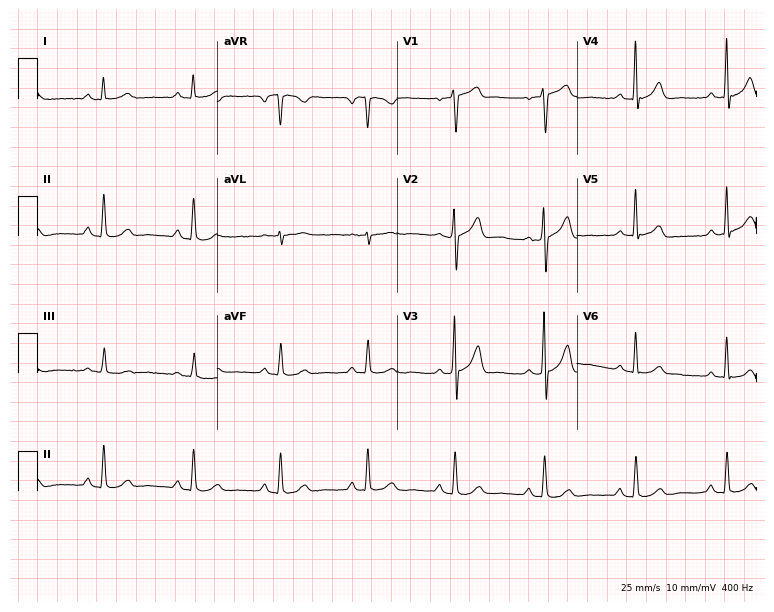
12-lead ECG from a male, 64 years old. Screened for six findings — first-degree AV block, right bundle branch block, left bundle branch block, sinus bradycardia, atrial fibrillation, sinus tachycardia — none is recorded. Only these six findings were labelled.